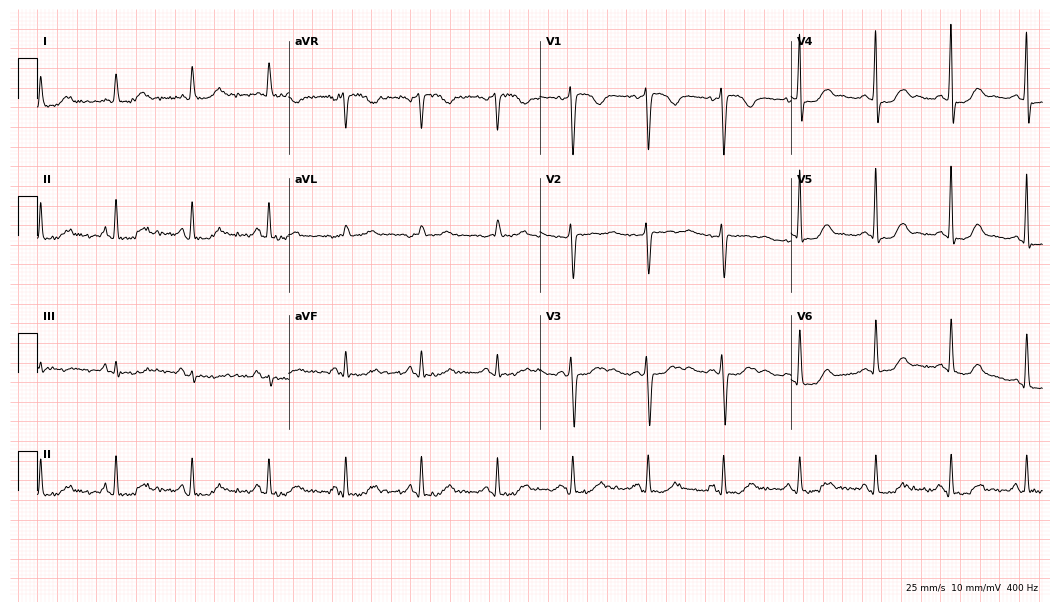
ECG (10.2-second recording at 400 Hz) — a 66-year-old female. Labelled as a normal ECG.